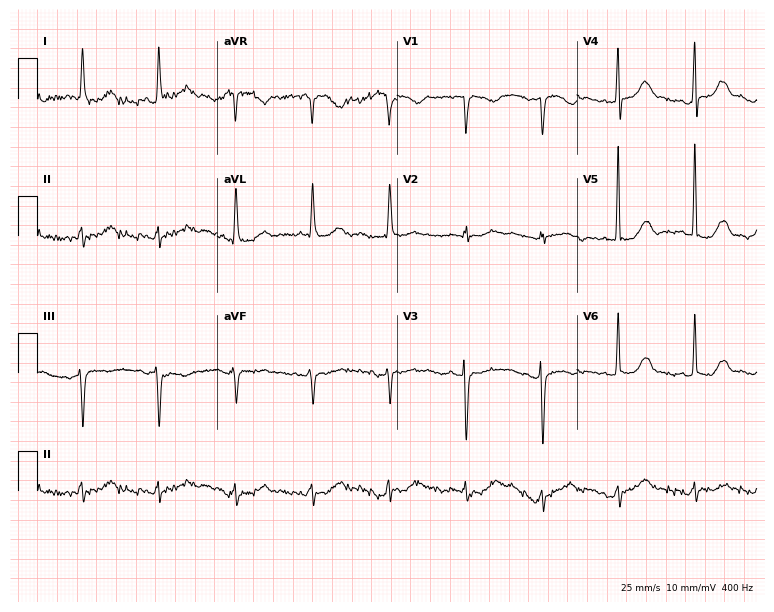
Electrocardiogram (7.3-second recording at 400 Hz), an 85-year-old female. Of the six screened findings (first-degree AV block, right bundle branch block, left bundle branch block, sinus bradycardia, atrial fibrillation, sinus tachycardia), none is recorded.